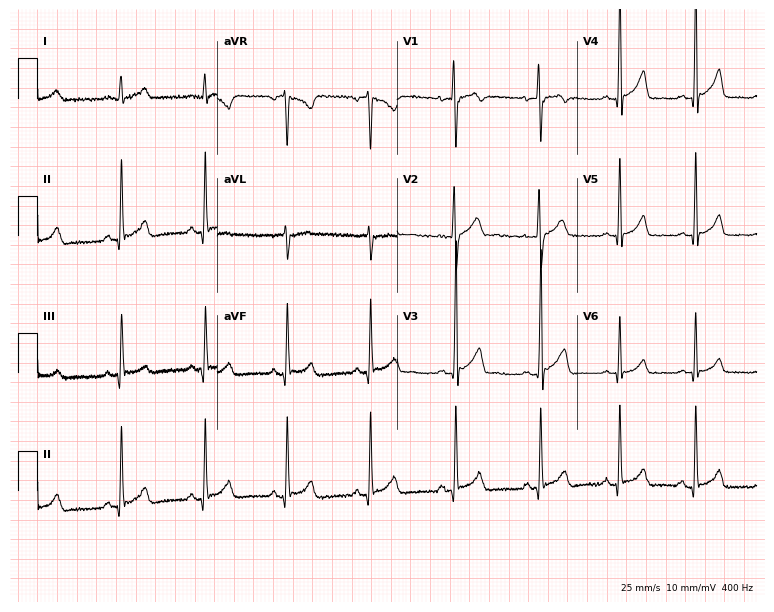
Electrocardiogram (7.3-second recording at 400 Hz), a 17-year-old male patient. Overall reading on record: normal ECG.